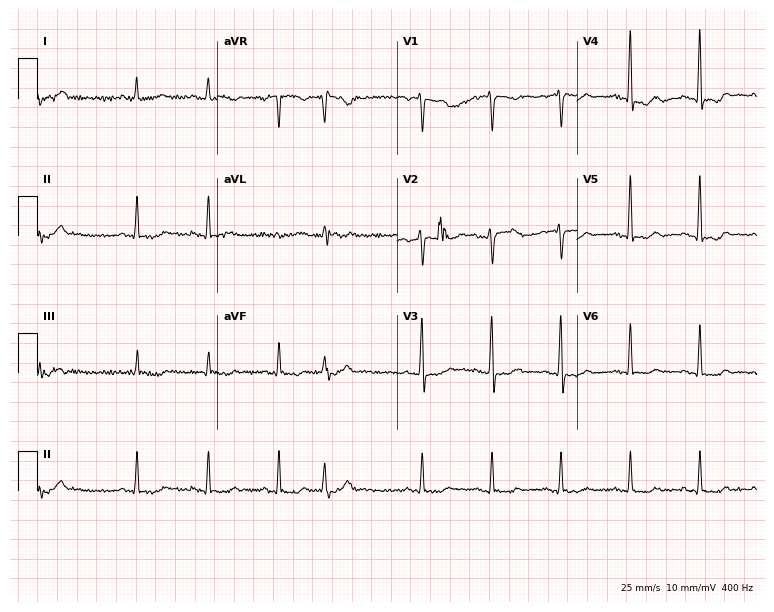
ECG (7.3-second recording at 400 Hz) — a 79-year-old woman. Labelled as a normal ECG.